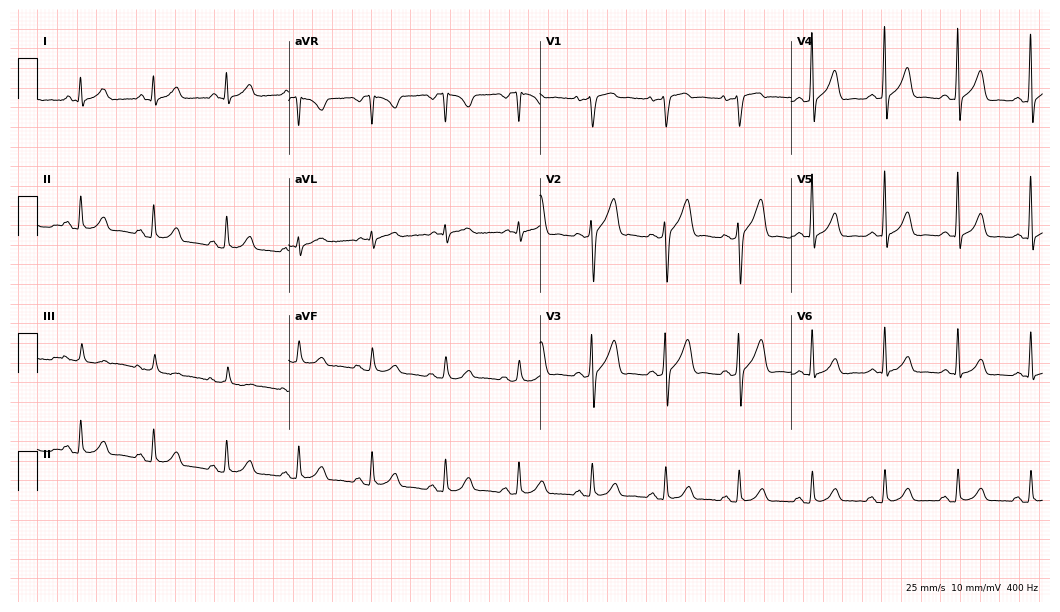
Standard 12-lead ECG recorded from a 59-year-old male (10.2-second recording at 400 Hz). Read as a normal ECG.